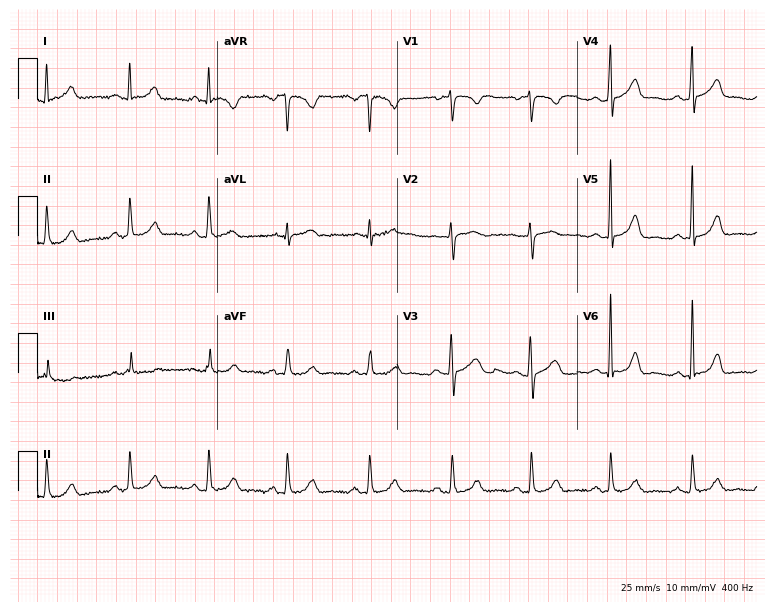
Resting 12-lead electrocardiogram (7.3-second recording at 400 Hz). Patient: a female, 40 years old. Read as a normal ECG.